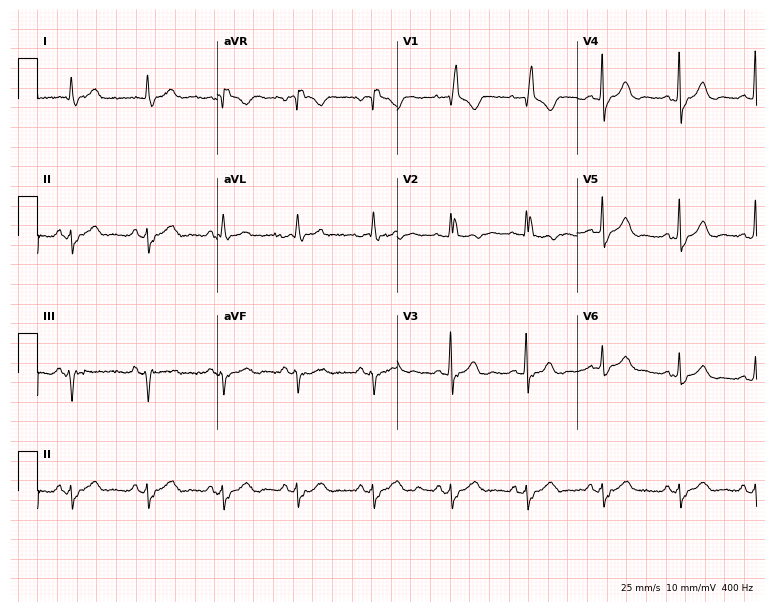
12-lead ECG from a woman, 81 years old (7.3-second recording at 400 Hz). Shows right bundle branch block.